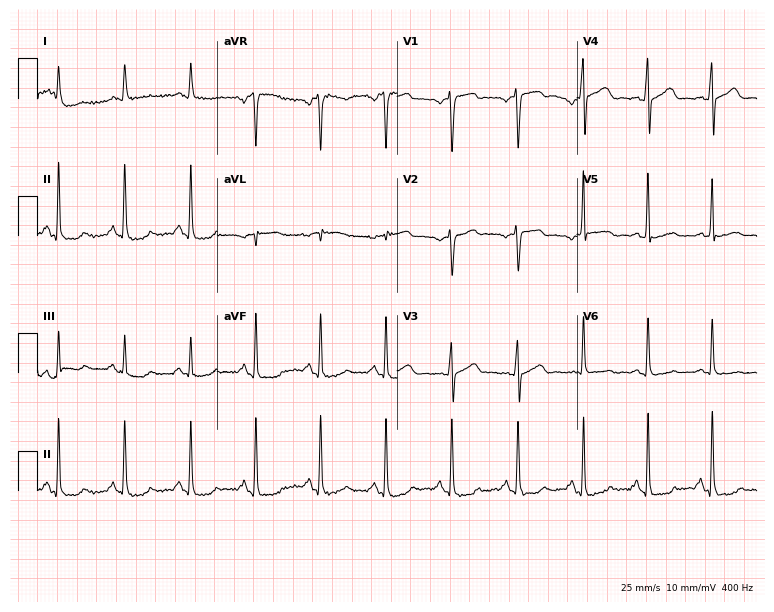
Electrocardiogram (7.3-second recording at 400 Hz), a 62-year-old man. Of the six screened findings (first-degree AV block, right bundle branch block, left bundle branch block, sinus bradycardia, atrial fibrillation, sinus tachycardia), none is recorded. Only these six findings were labelled.